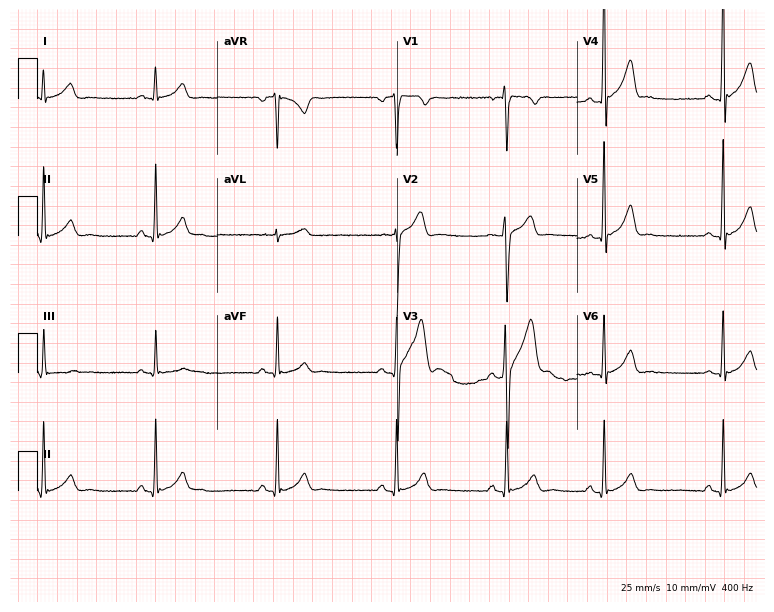
Resting 12-lead electrocardiogram. Patient: a man, 18 years old. Read as a normal ECG.